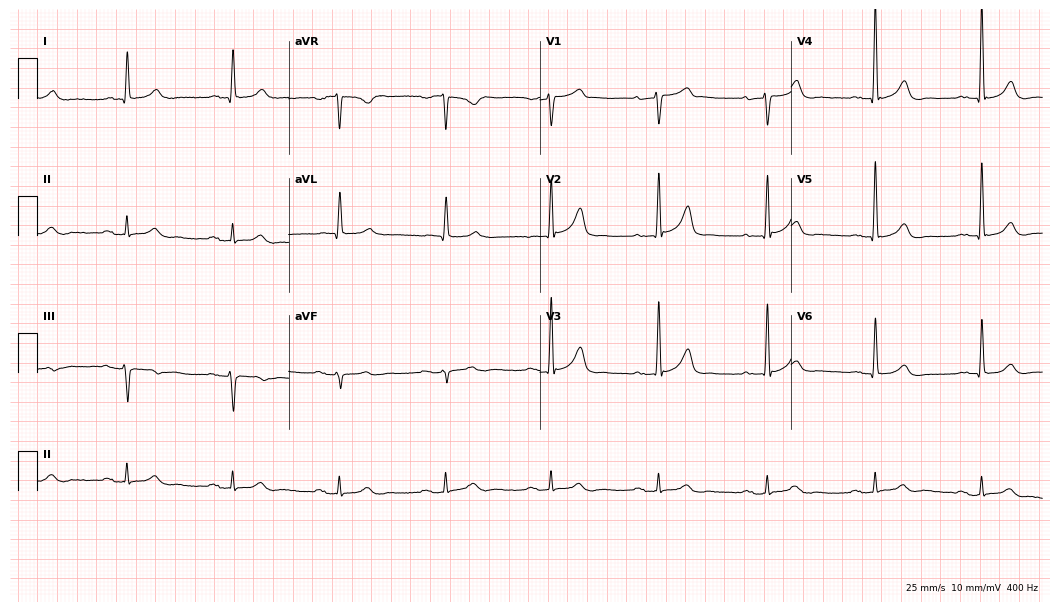
Standard 12-lead ECG recorded from a male patient, 66 years old (10.2-second recording at 400 Hz). None of these six findings is recorded: first-degree AV block, right bundle branch block (RBBB), left bundle branch block (LBBB), sinus bradycardia, atrial fibrillation (AF), sinus tachycardia. Findings outside these six are not listed.